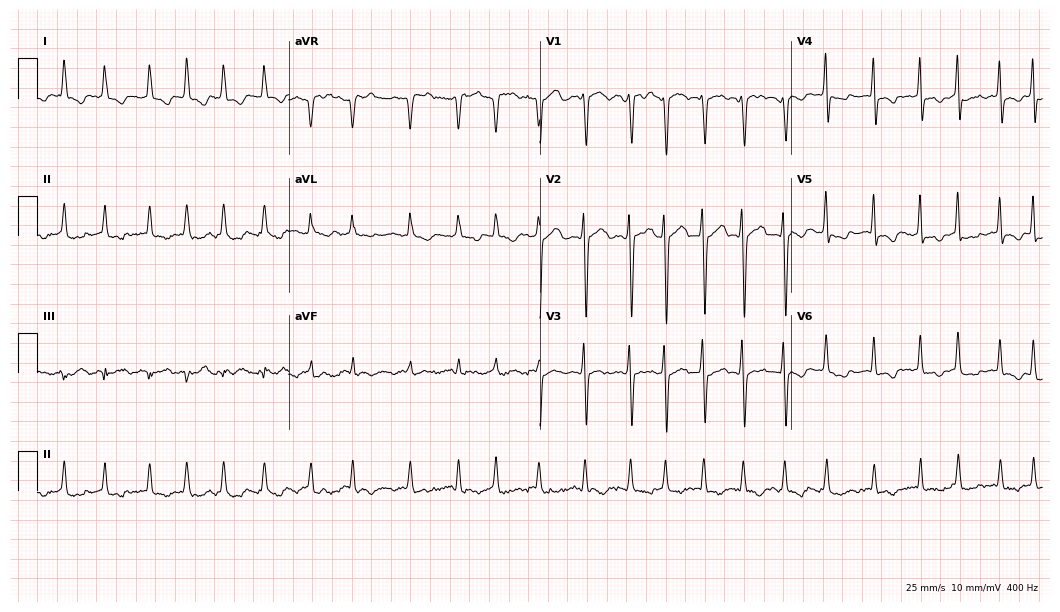
12-lead ECG (10.2-second recording at 400 Hz) from a 65-year-old female patient. Findings include atrial fibrillation.